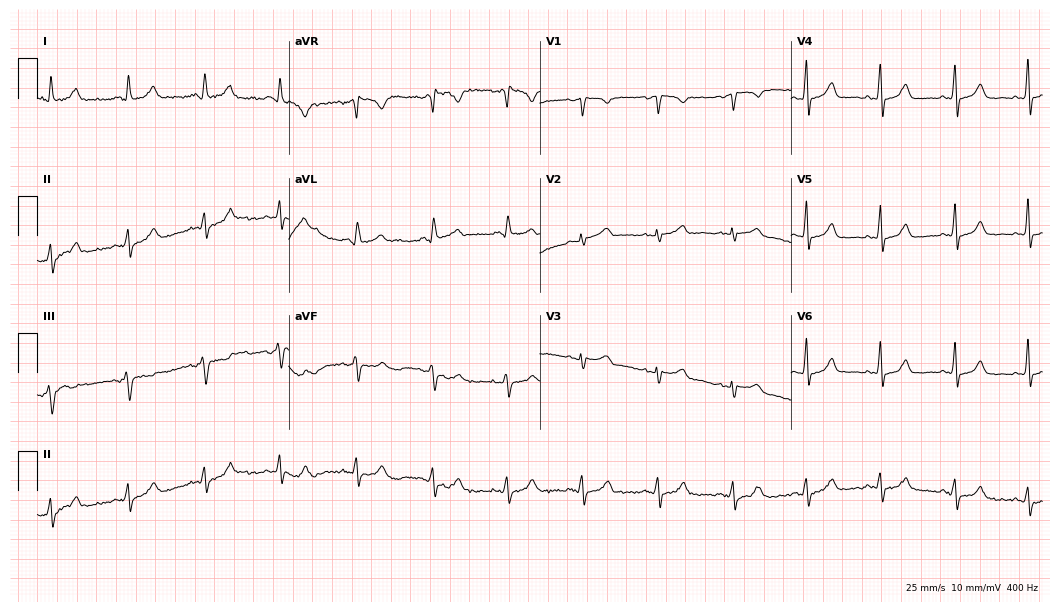
Standard 12-lead ECG recorded from a woman, 46 years old. None of these six findings is recorded: first-degree AV block, right bundle branch block, left bundle branch block, sinus bradycardia, atrial fibrillation, sinus tachycardia. Other findings, if any, are not listed.